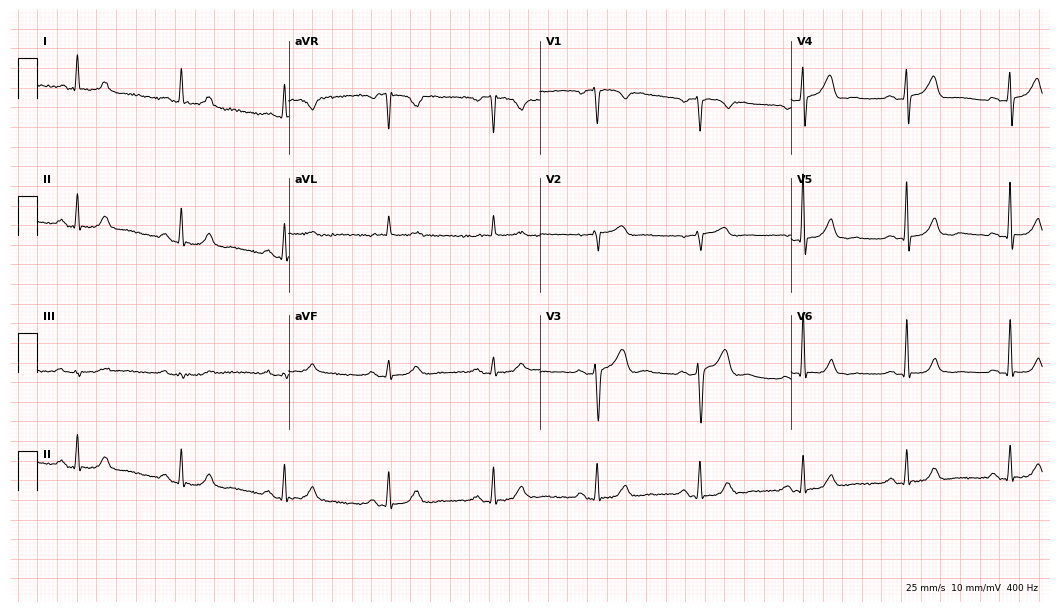
Standard 12-lead ECG recorded from a man, 71 years old (10.2-second recording at 400 Hz). Read as a normal ECG.